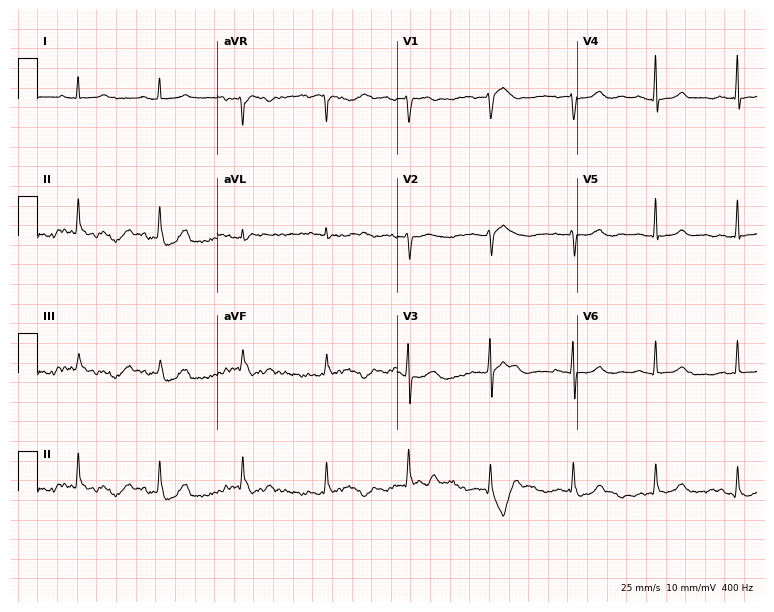
12-lead ECG (7.3-second recording at 400 Hz) from a 60-year-old female patient. Labelled as a normal ECG.